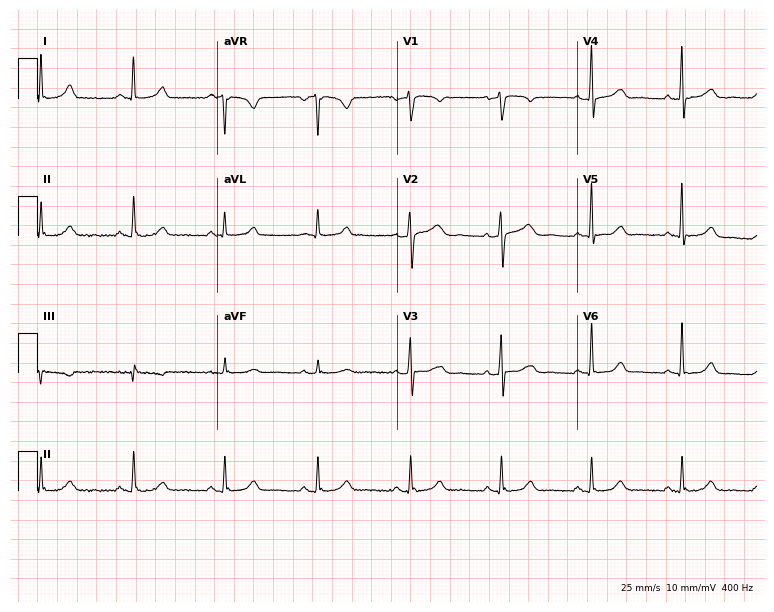
Standard 12-lead ECG recorded from a 62-year-old female patient (7.3-second recording at 400 Hz). Read as a normal ECG.